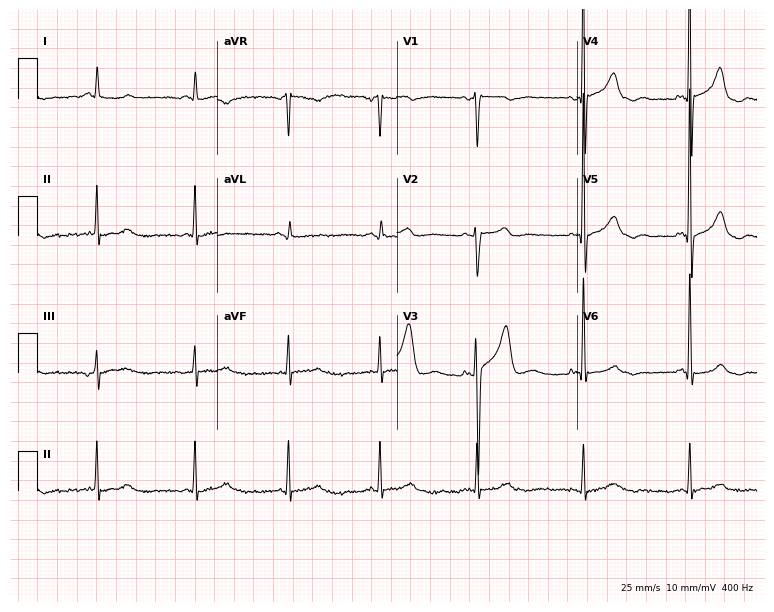
Standard 12-lead ECG recorded from a man, 64 years old. None of these six findings is recorded: first-degree AV block, right bundle branch block, left bundle branch block, sinus bradycardia, atrial fibrillation, sinus tachycardia. Findings outside these six are not listed.